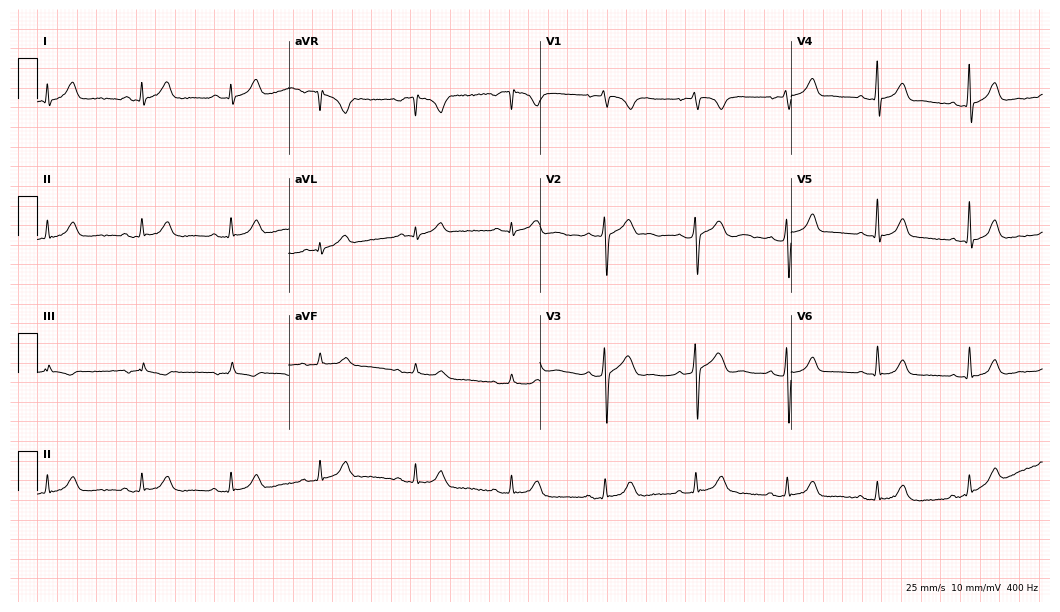
Resting 12-lead electrocardiogram (10.2-second recording at 400 Hz). Patient: a man, 36 years old. Read as a normal ECG.